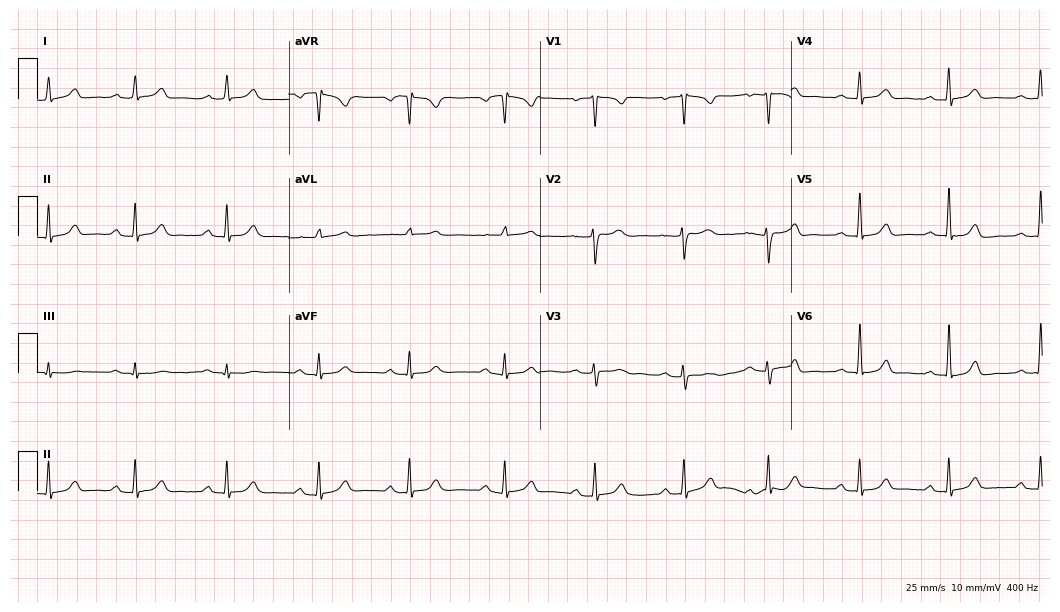
Resting 12-lead electrocardiogram. Patient: a 23-year-old female. The tracing shows first-degree AV block.